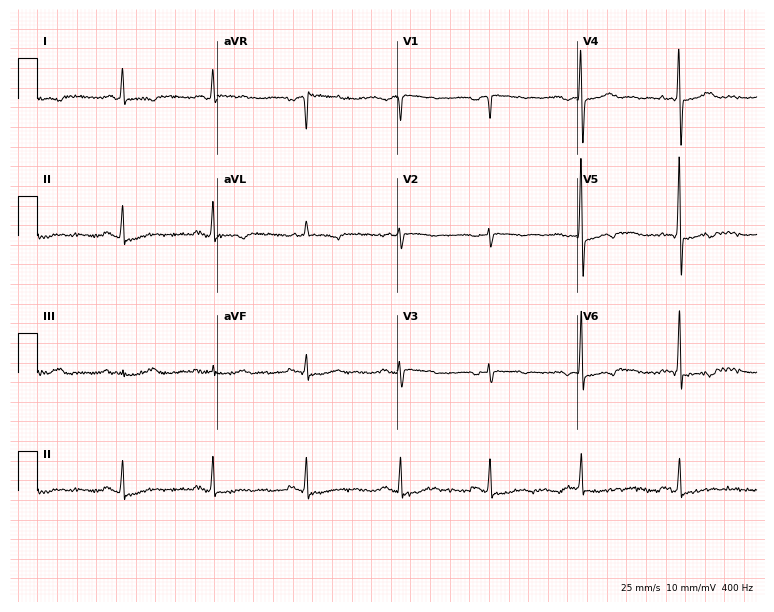
12-lead ECG from a woman, 72 years old. Screened for six findings — first-degree AV block, right bundle branch block, left bundle branch block, sinus bradycardia, atrial fibrillation, sinus tachycardia — none is recorded. Only these six findings were labelled.